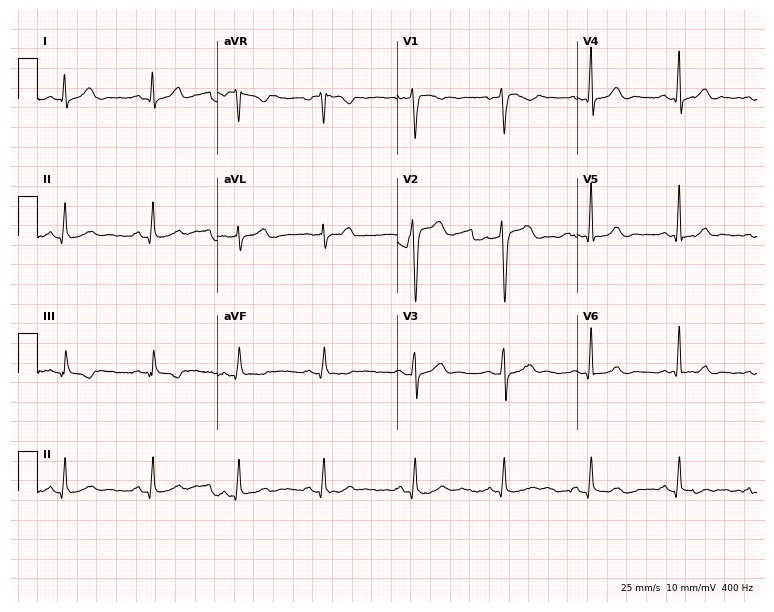
12-lead ECG from a man, 32 years old. Labelled as a normal ECG.